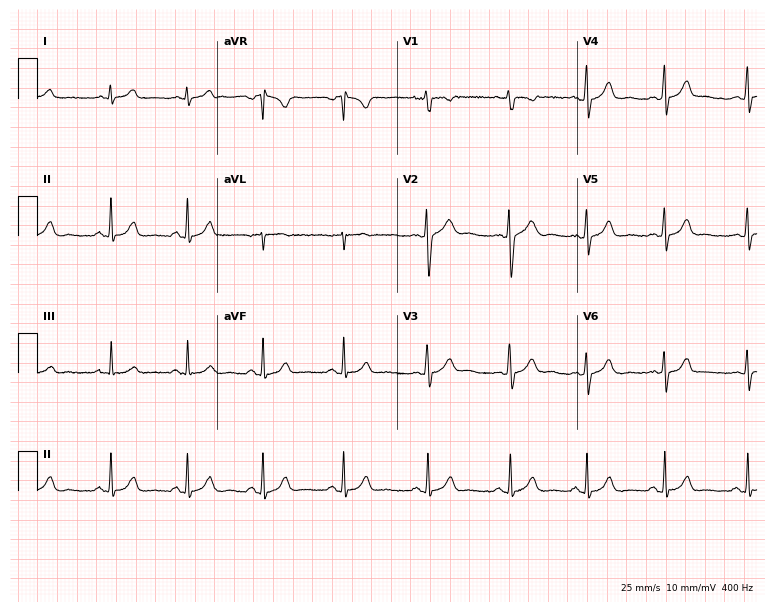
Resting 12-lead electrocardiogram (7.3-second recording at 400 Hz). Patient: a 24-year-old woman. Read as a normal ECG.